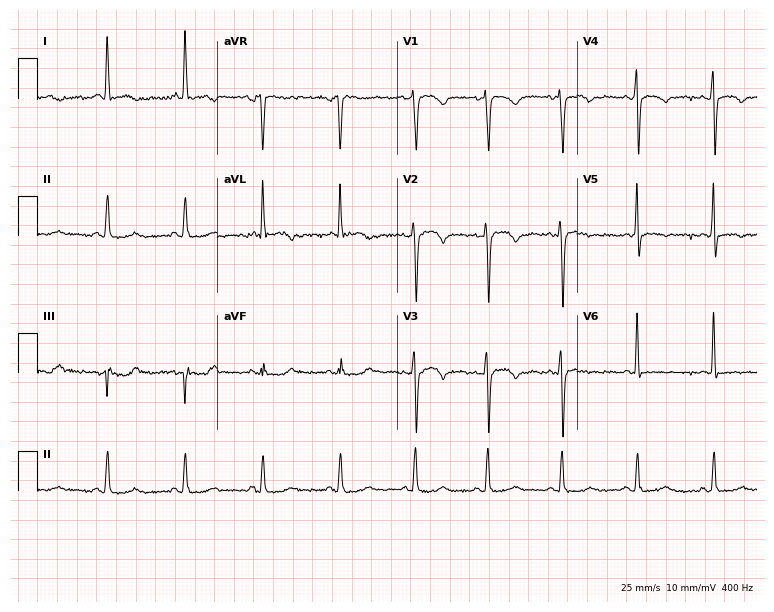
Electrocardiogram (7.3-second recording at 400 Hz), a 52-year-old female. Of the six screened findings (first-degree AV block, right bundle branch block (RBBB), left bundle branch block (LBBB), sinus bradycardia, atrial fibrillation (AF), sinus tachycardia), none is recorded. Only these six findings were labelled.